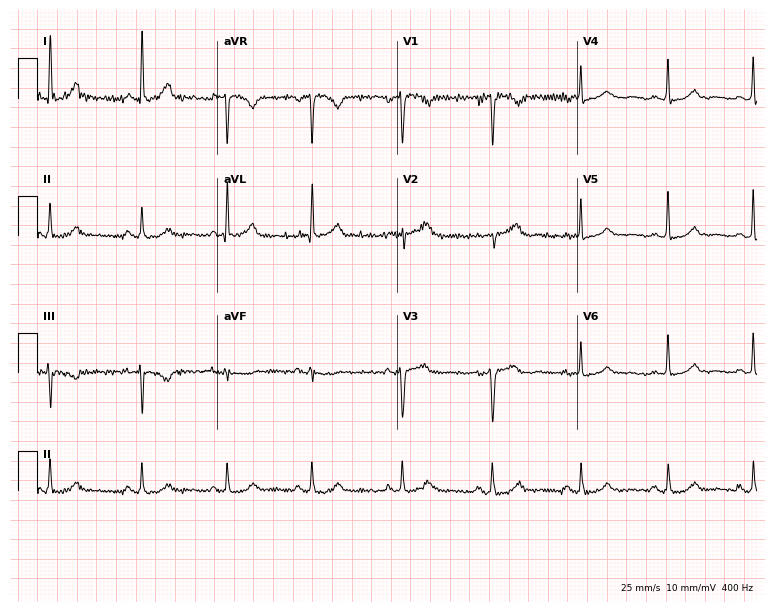
12-lead ECG (7.3-second recording at 400 Hz) from a female, 40 years old. Screened for six findings — first-degree AV block, right bundle branch block, left bundle branch block, sinus bradycardia, atrial fibrillation, sinus tachycardia — none is recorded. Findings outside these six are not listed.